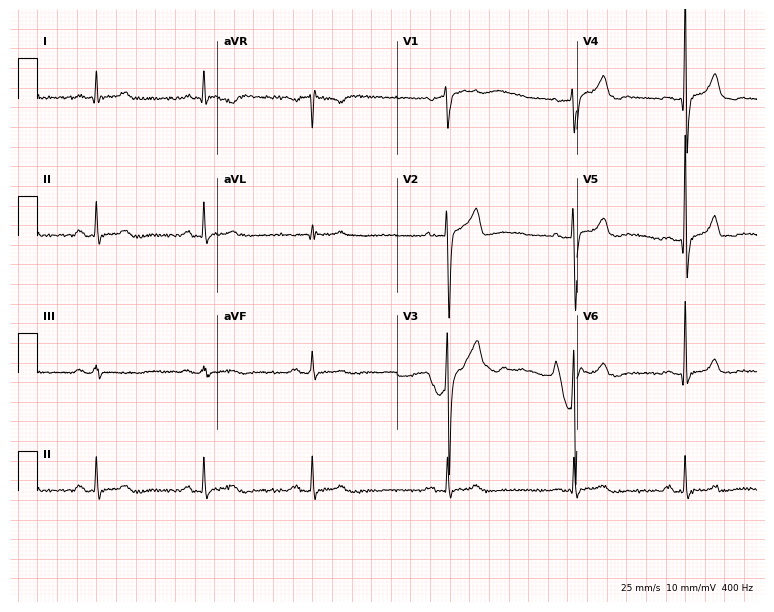
Standard 12-lead ECG recorded from a male, 50 years old. Read as a normal ECG.